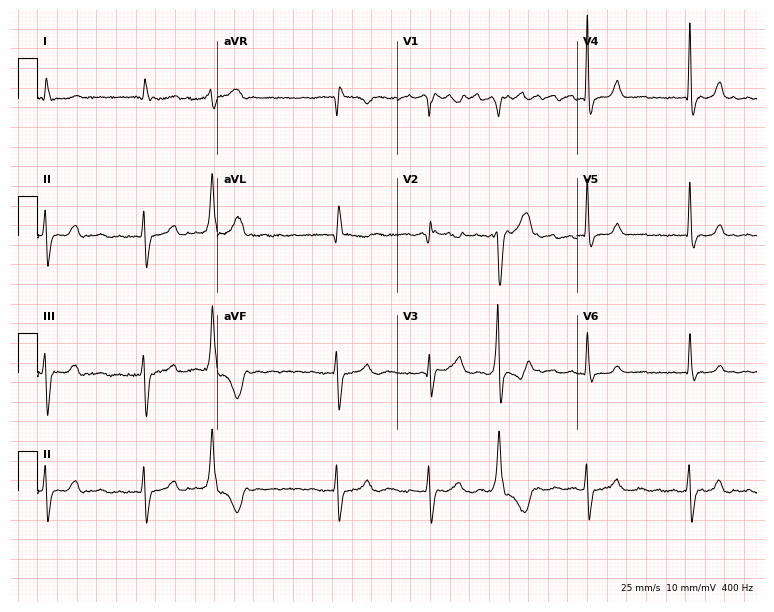
12-lead ECG from a 72-year-old woman. Findings include atrial fibrillation.